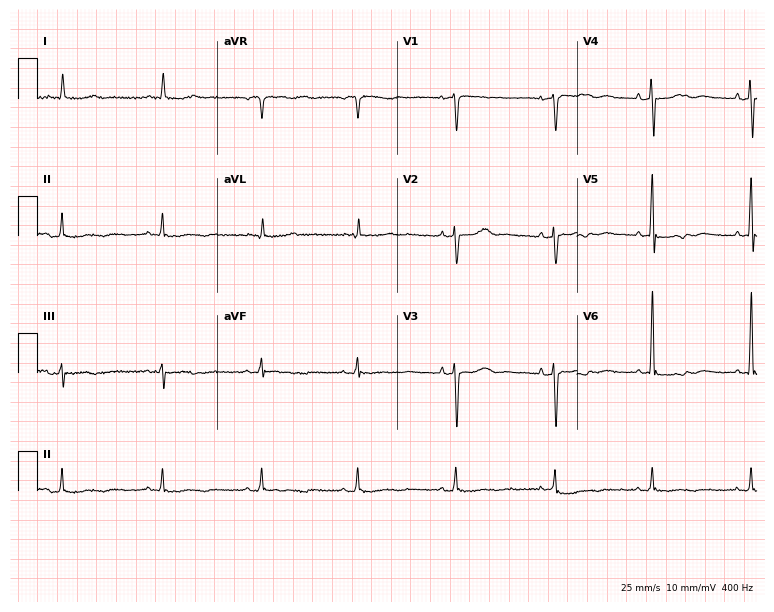
ECG — a 78-year-old female. Screened for six findings — first-degree AV block, right bundle branch block, left bundle branch block, sinus bradycardia, atrial fibrillation, sinus tachycardia — none is recorded.